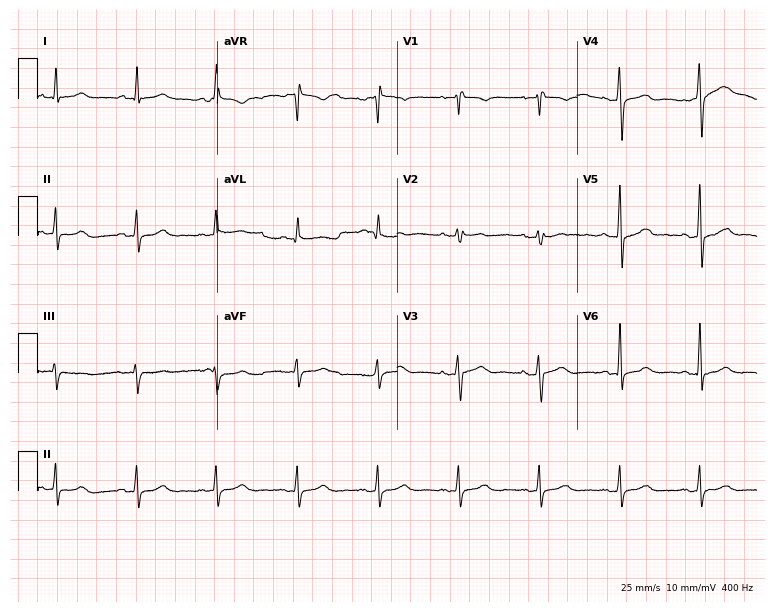
ECG — a man, 50 years old. Screened for six findings — first-degree AV block, right bundle branch block, left bundle branch block, sinus bradycardia, atrial fibrillation, sinus tachycardia — none is recorded.